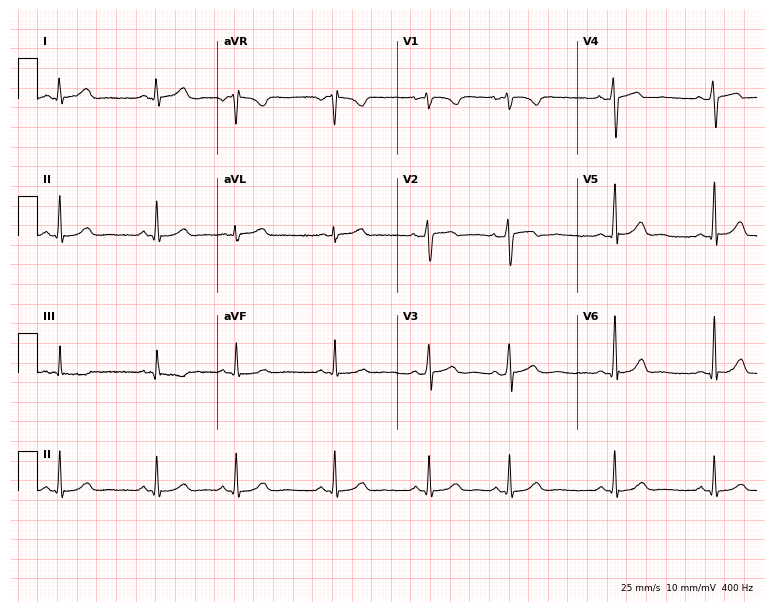
ECG (7.3-second recording at 400 Hz) — a 22-year-old female. Labelled as a normal ECG.